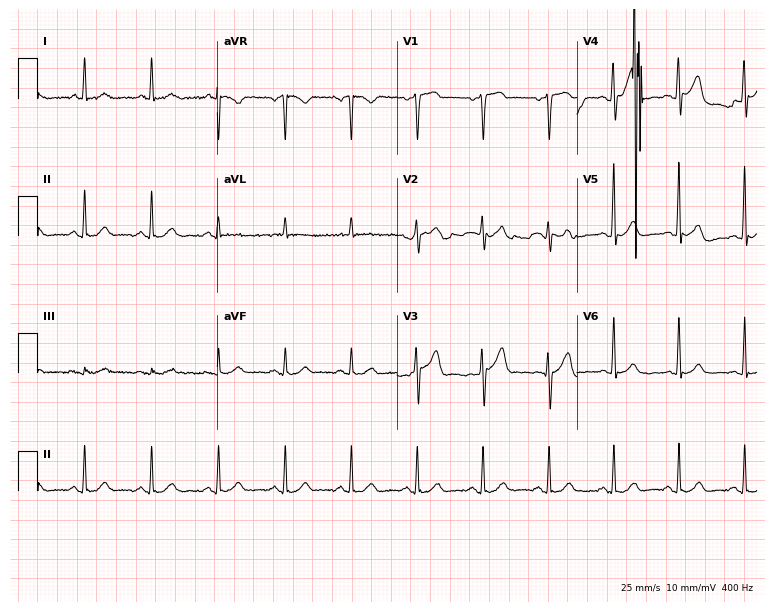
12-lead ECG from a male patient, 65 years old. Labelled as a normal ECG.